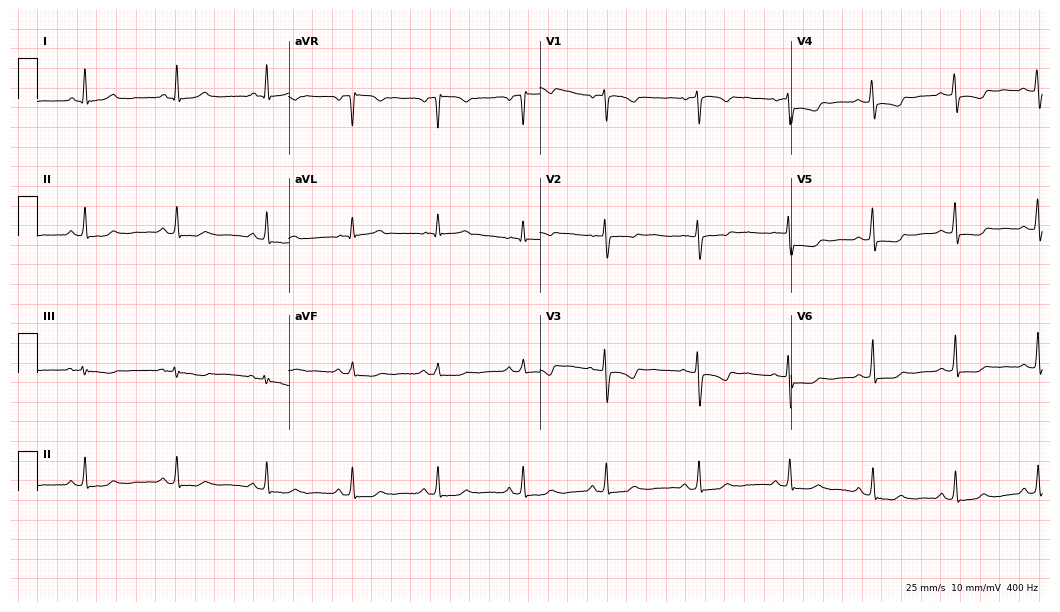
Electrocardiogram (10.2-second recording at 400 Hz), a woman, 53 years old. Of the six screened findings (first-degree AV block, right bundle branch block (RBBB), left bundle branch block (LBBB), sinus bradycardia, atrial fibrillation (AF), sinus tachycardia), none is recorded. Findings outside these six are not listed.